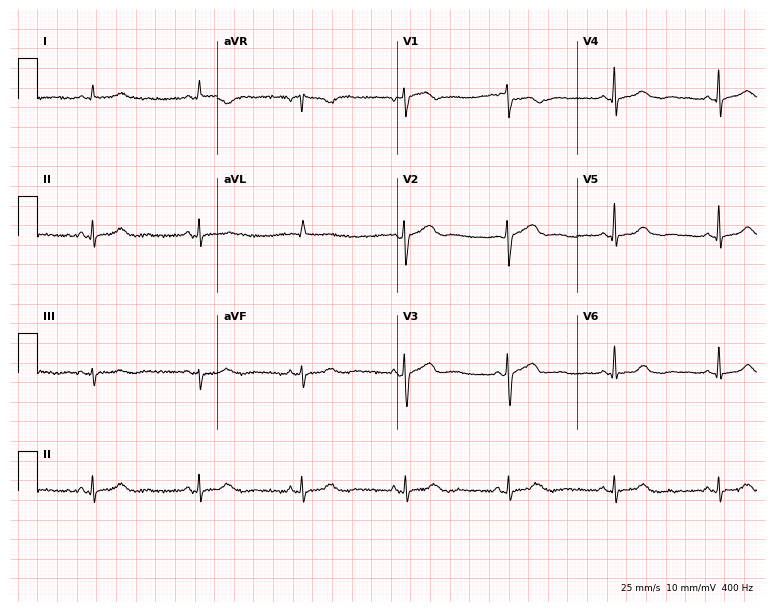
Electrocardiogram (7.3-second recording at 400 Hz), a 68-year-old female patient. Overall reading on record: normal ECG.